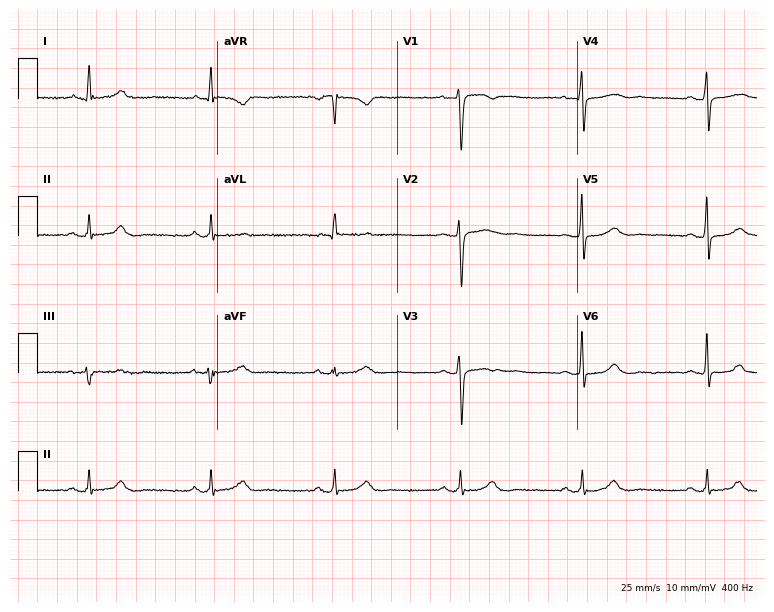
Resting 12-lead electrocardiogram. Patient: a 63-year-old female. The tracing shows sinus bradycardia (a sinus rate of 50 beats per minute or less).